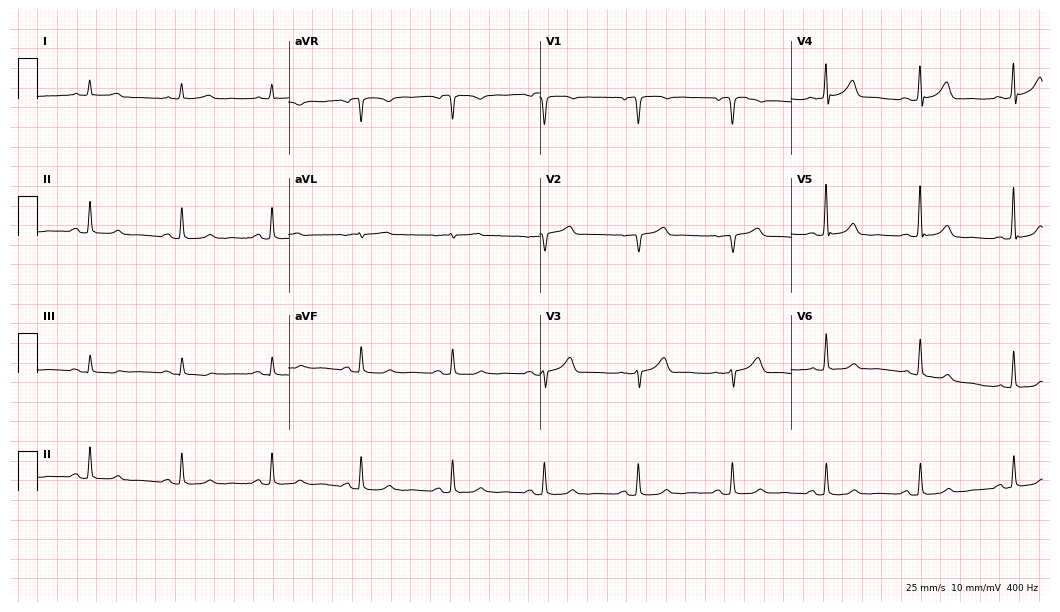
Standard 12-lead ECG recorded from a 74-year-old male patient (10.2-second recording at 400 Hz). None of these six findings is recorded: first-degree AV block, right bundle branch block, left bundle branch block, sinus bradycardia, atrial fibrillation, sinus tachycardia. Findings outside these six are not listed.